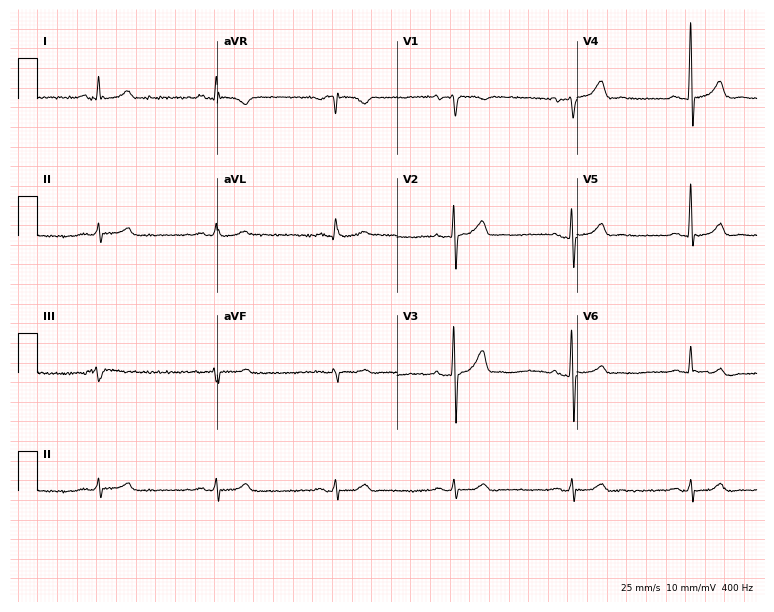
12-lead ECG from a man, 63 years old. Labelled as a normal ECG.